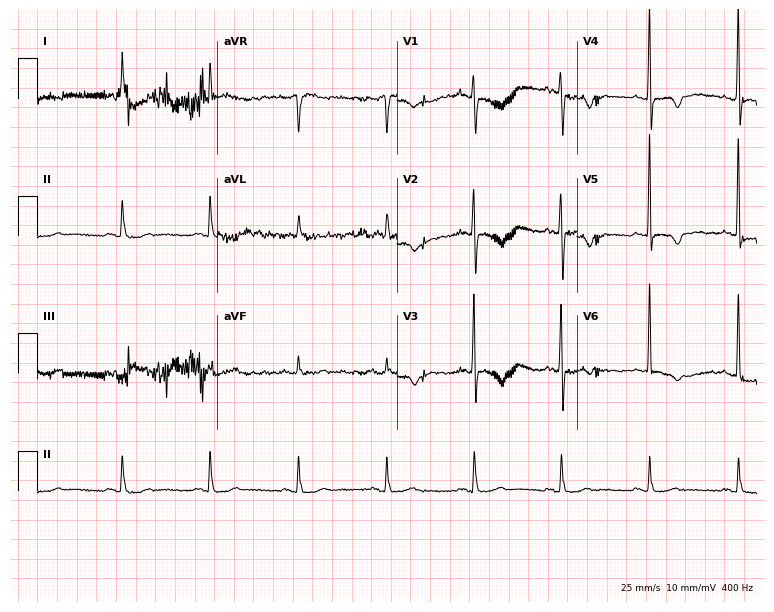
12-lead ECG from a 76-year-old woman (7.3-second recording at 400 Hz). No first-degree AV block, right bundle branch block, left bundle branch block, sinus bradycardia, atrial fibrillation or sinus tachycardia recorded for this tracing. Other findings, if any, are not listed.